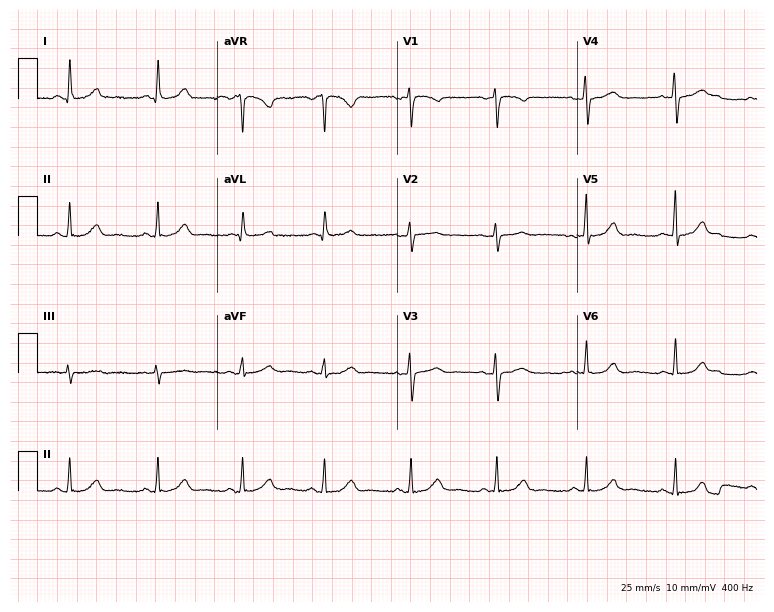
12-lead ECG from a 51-year-old woman. Recorded interpretation: within normal limits.